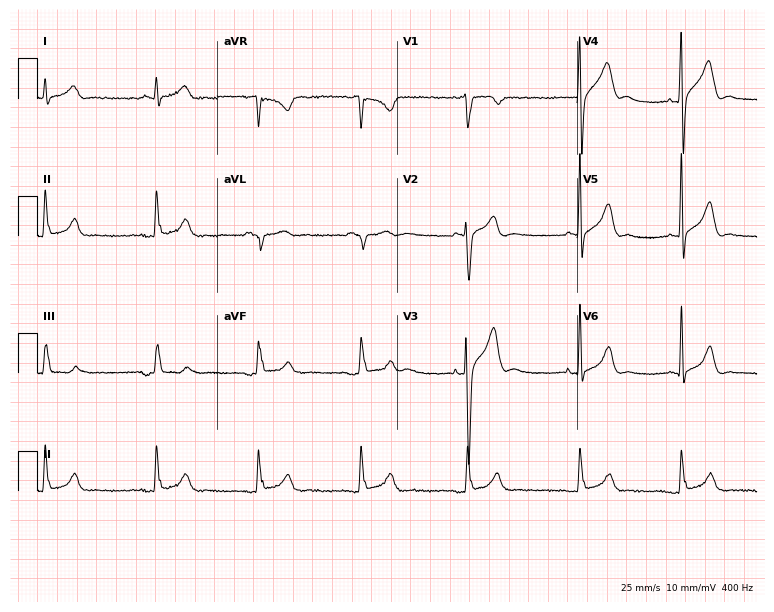
12-lead ECG (7.3-second recording at 400 Hz) from a male, 35 years old. Screened for six findings — first-degree AV block, right bundle branch block, left bundle branch block, sinus bradycardia, atrial fibrillation, sinus tachycardia — none is recorded.